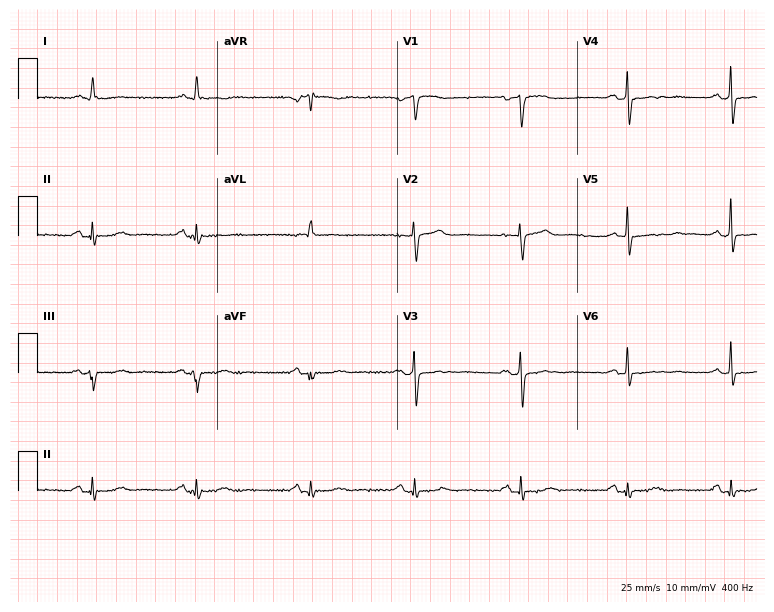
Resting 12-lead electrocardiogram. Patient: a 73-year-old male. None of these six findings is recorded: first-degree AV block, right bundle branch block, left bundle branch block, sinus bradycardia, atrial fibrillation, sinus tachycardia.